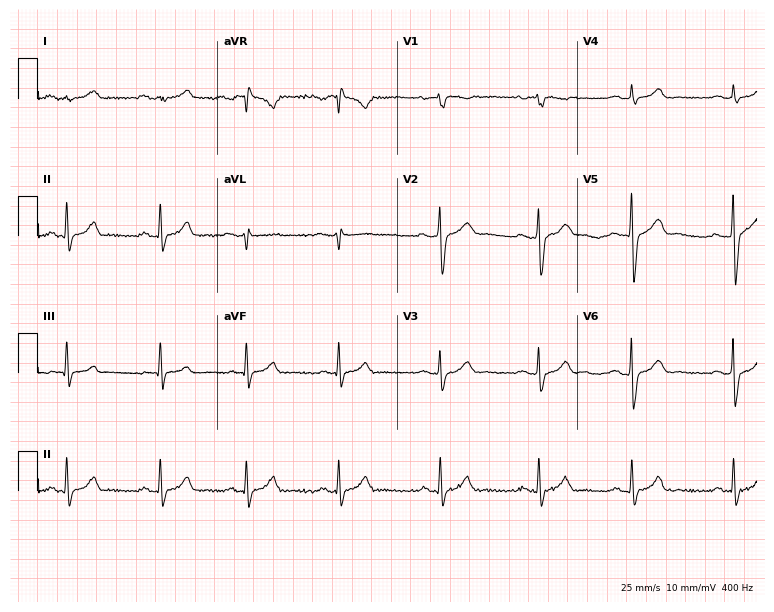
12-lead ECG from a male, 55 years old. Screened for six findings — first-degree AV block, right bundle branch block, left bundle branch block, sinus bradycardia, atrial fibrillation, sinus tachycardia — none is recorded.